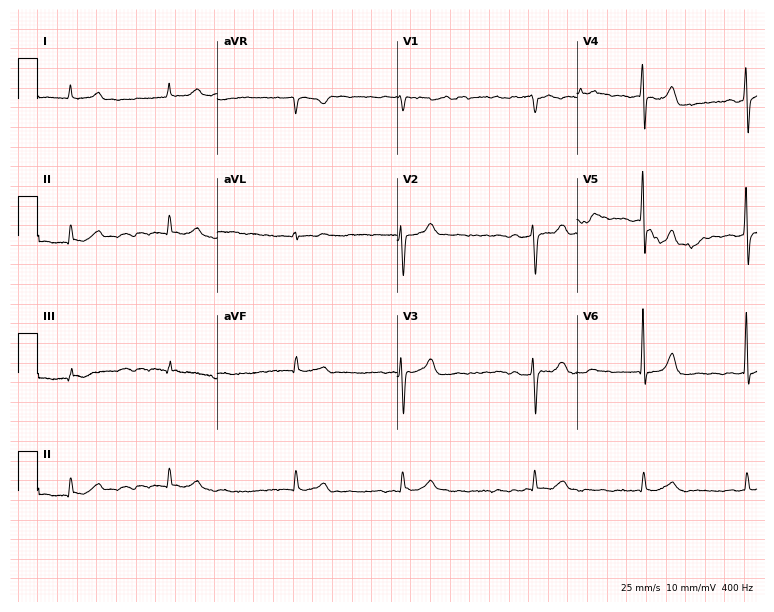
12-lead ECG from a 63-year-old female (7.3-second recording at 400 Hz). Shows atrial fibrillation (AF).